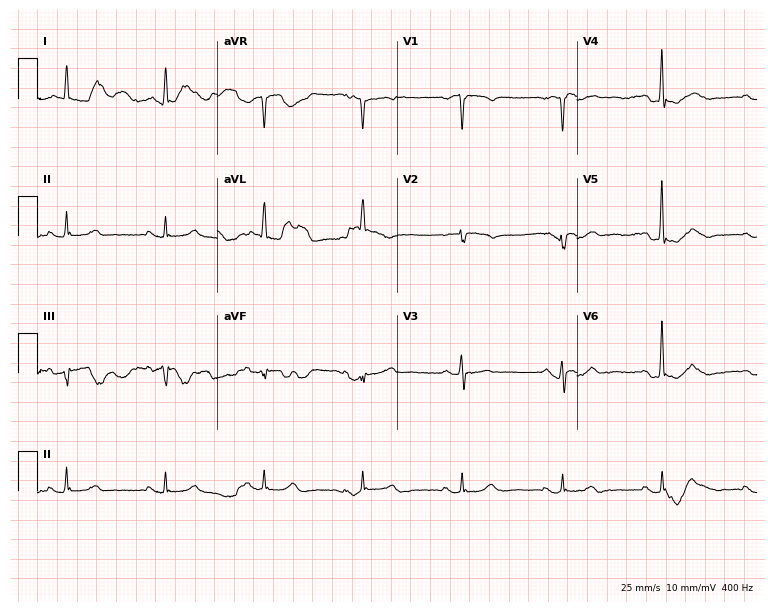
12-lead ECG (7.3-second recording at 400 Hz) from a man, 66 years old. Screened for six findings — first-degree AV block, right bundle branch block, left bundle branch block, sinus bradycardia, atrial fibrillation, sinus tachycardia — none is recorded.